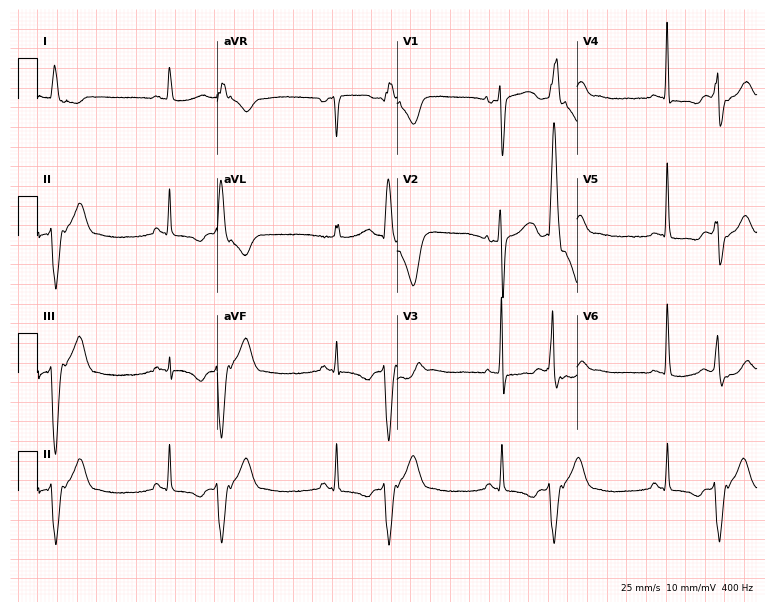
12-lead ECG (7.3-second recording at 400 Hz) from a woman, 48 years old. Screened for six findings — first-degree AV block, right bundle branch block, left bundle branch block, sinus bradycardia, atrial fibrillation, sinus tachycardia — none is recorded.